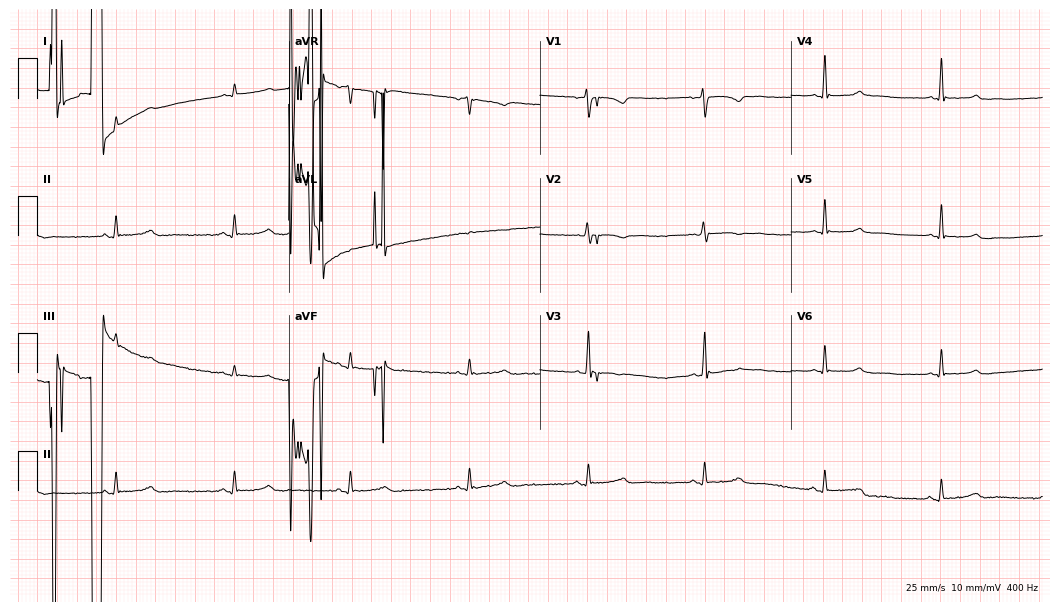
12-lead ECG (10.2-second recording at 400 Hz) from a 47-year-old female. Screened for six findings — first-degree AV block, right bundle branch block (RBBB), left bundle branch block (LBBB), sinus bradycardia, atrial fibrillation (AF), sinus tachycardia — none is recorded.